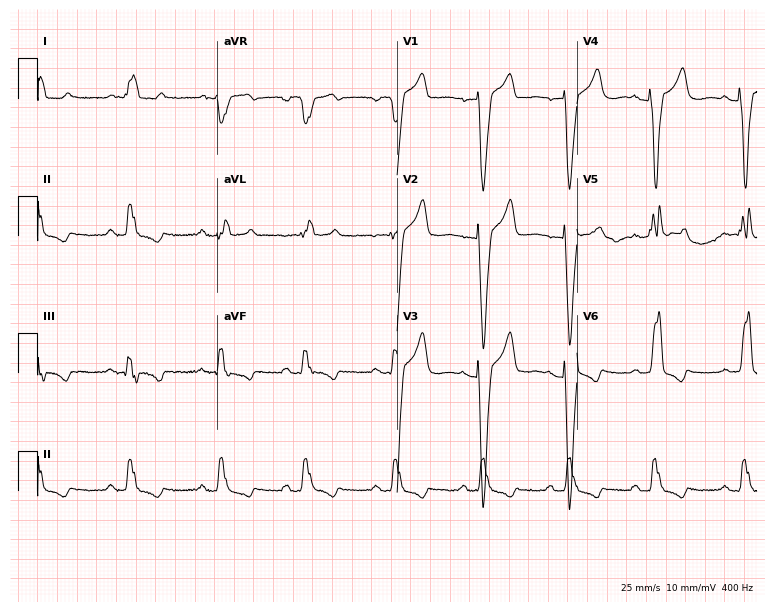
Resting 12-lead electrocardiogram (7.3-second recording at 400 Hz). Patient: a female, 74 years old. None of these six findings is recorded: first-degree AV block, right bundle branch block, left bundle branch block, sinus bradycardia, atrial fibrillation, sinus tachycardia. Findings outside these six are not listed.